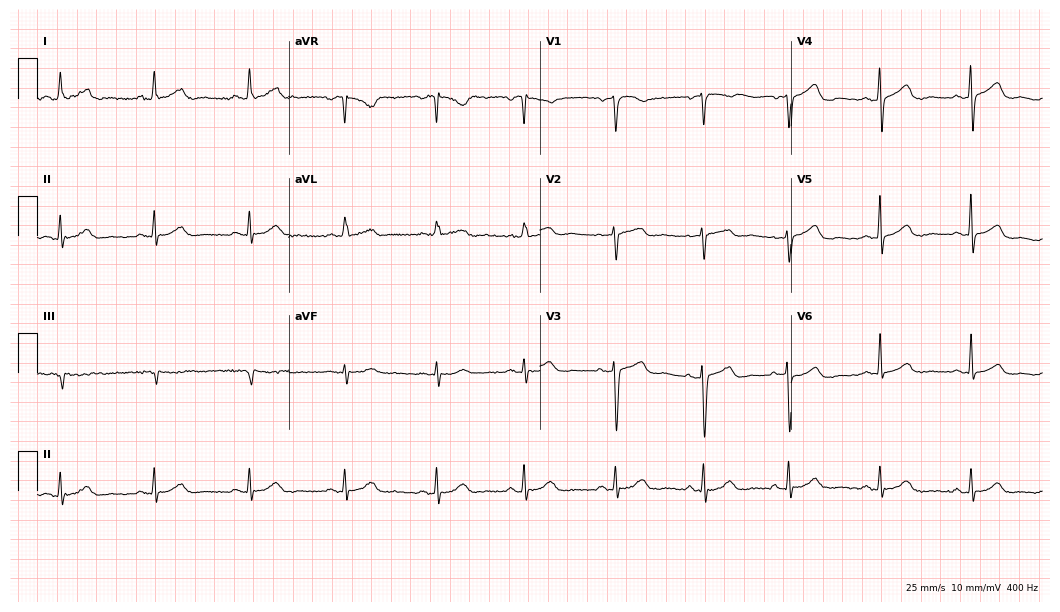
ECG — a 38-year-old female. Labelled as a normal ECG.